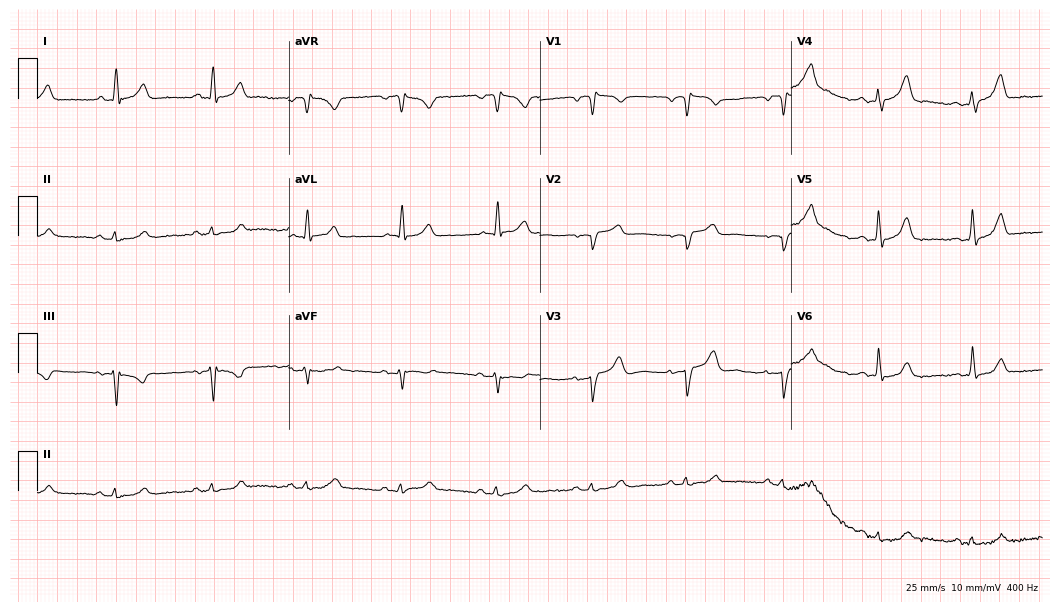
12-lead ECG from an 85-year-old woman (10.2-second recording at 400 Hz). Recorded interpretation: within normal limits.